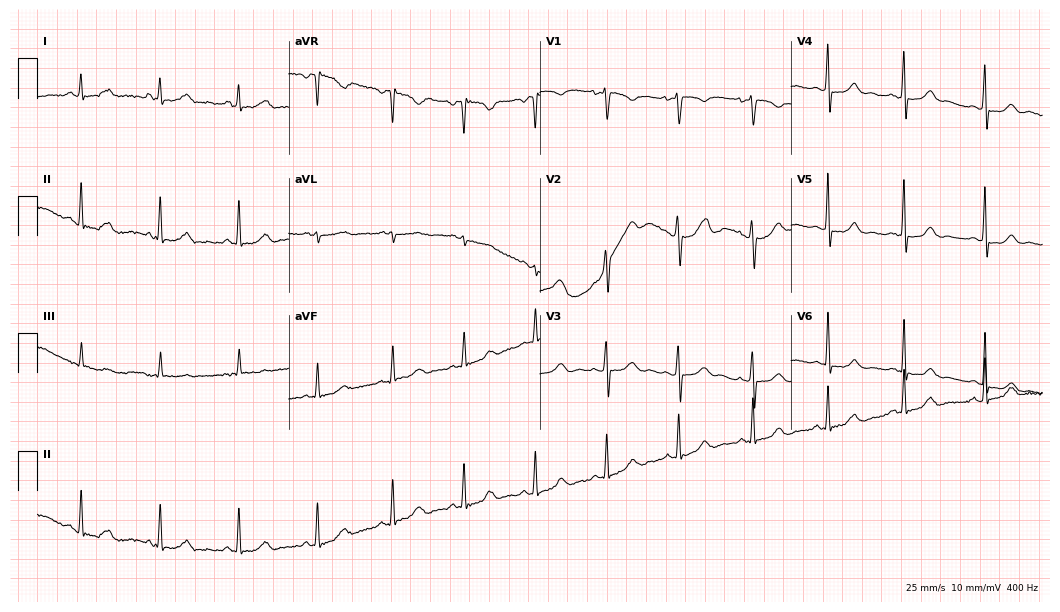
Standard 12-lead ECG recorded from a woman, 38 years old (10.2-second recording at 400 Hz). None of these six findings is recorded: first-degree AV block, right bundle branch block, left bundle branch block, sinus bradycardia, atrial fibrillation, sinus tachycardia. Findings outside these six are not listed.